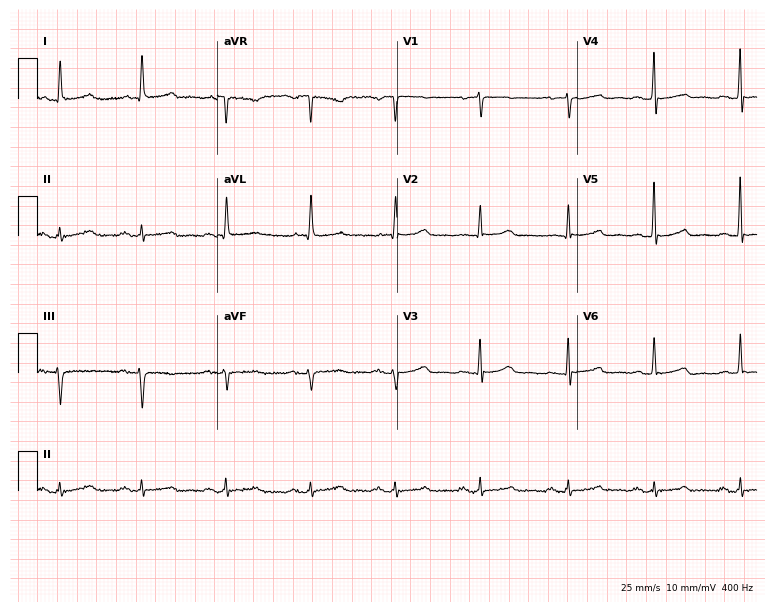
Resting 12-lead electrocardiogram. Patient: a 70-year-old female. Read as a normal ECG.